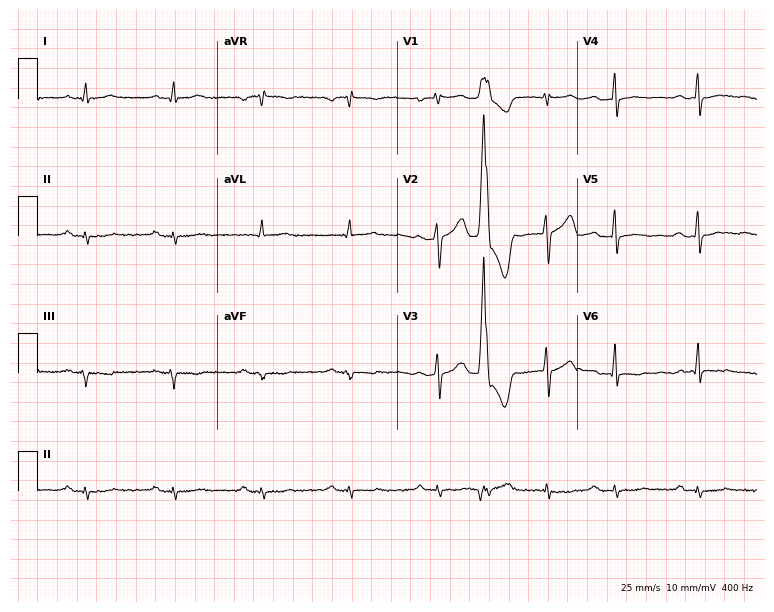
ECG (7.3-second recording at 400 Hz) — a 66-year-old male. Screened for six findings — first-degree AV block, right bundle branch block (RBBB), left bundle branch block (LBBB), sinus bradycardia, atrial fibrillation (AF), sinus tachycardia — none is recorded. Other findings, if any, are not listed.